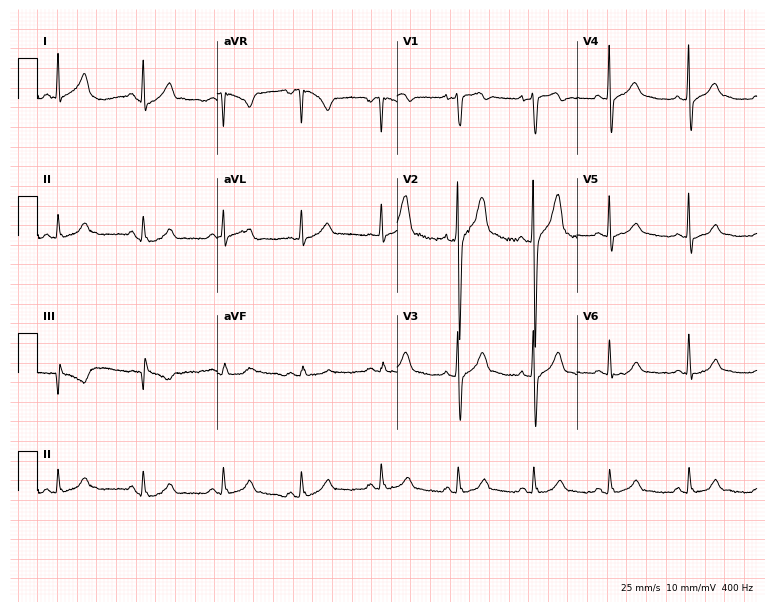
Standard 12-lead ECG recorded from a 35-year-old man. Read as a normal ECG.